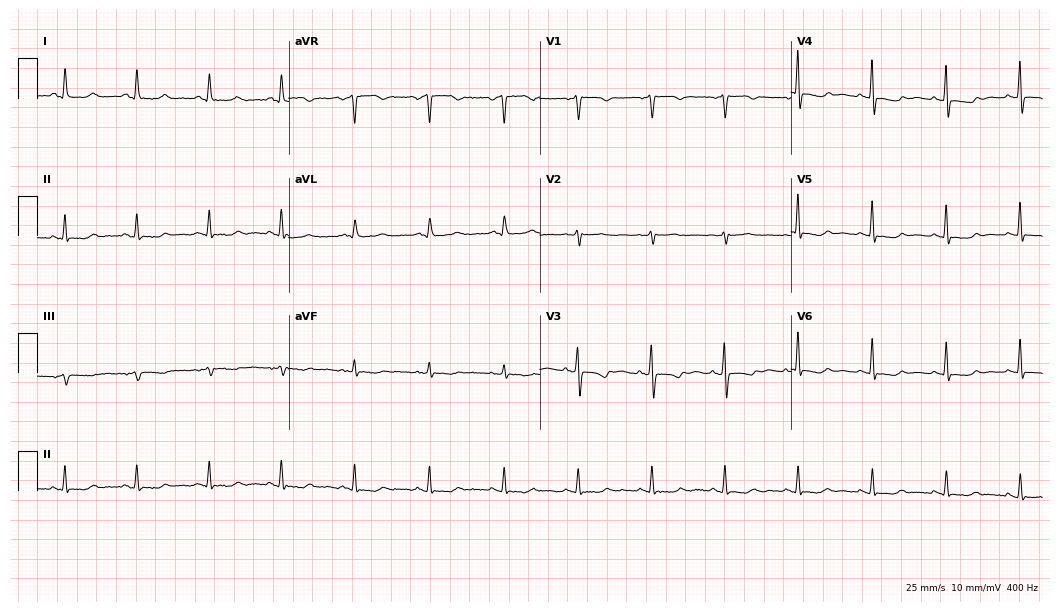
Electrocardiogram, a 66-year-old female patient. Of the six screened findings (first-degree AV block, right bundle branch block, left bundle branch block, sinus bradycardia, atrial fibrillation, sinus tachycardia), none is recorded. Other findings, if any, are not listed.